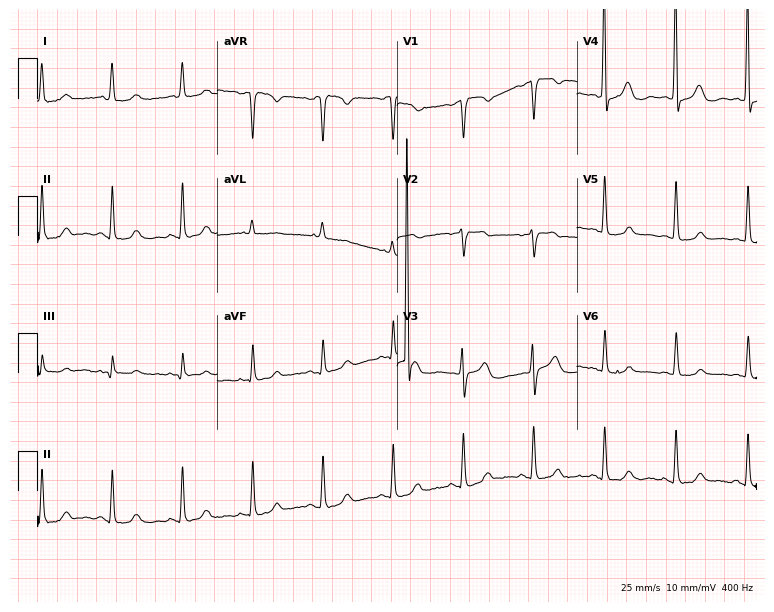
ECG (7.3-second recording at 400 Hz) — a 76-year-old female. Screened for six findings — first-degree AV block, right bundle branch block, left bundle branch block, sinus bradycardia, atrial fibrillation, sinus tachycardia — none is recorded. Findings outside these six are not listed.